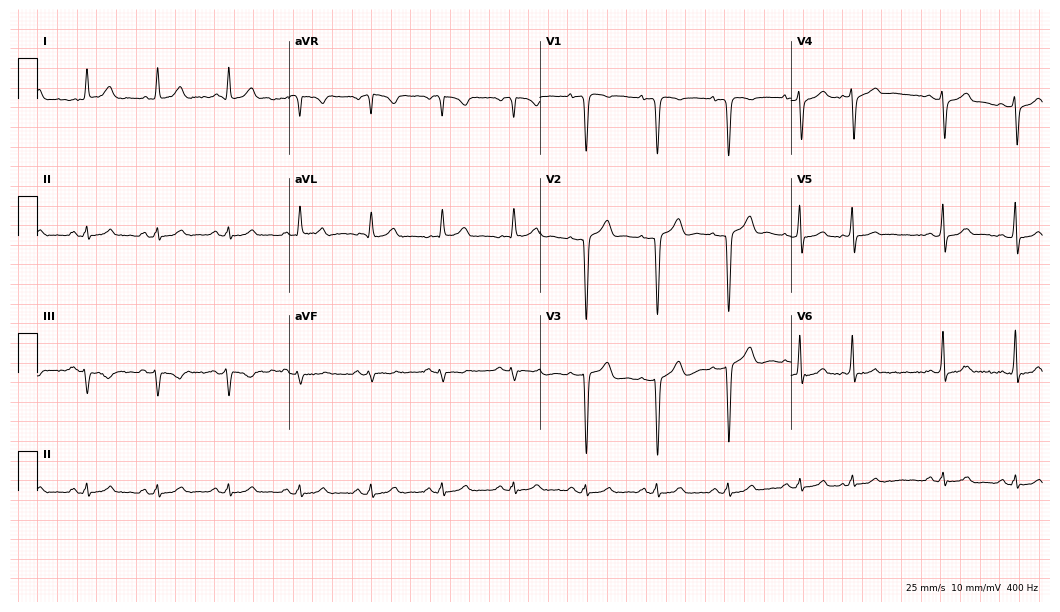
Resting 12-lead electrocardiogram (10.2-second recording at 400 Hz). Patient: a male, 32 years old. None of these six findings is recorded: first-degree AV block, right bundle branch block, left bundle branch block, sinus bradycardia, atrial fibrillation, sinus tachycardia.